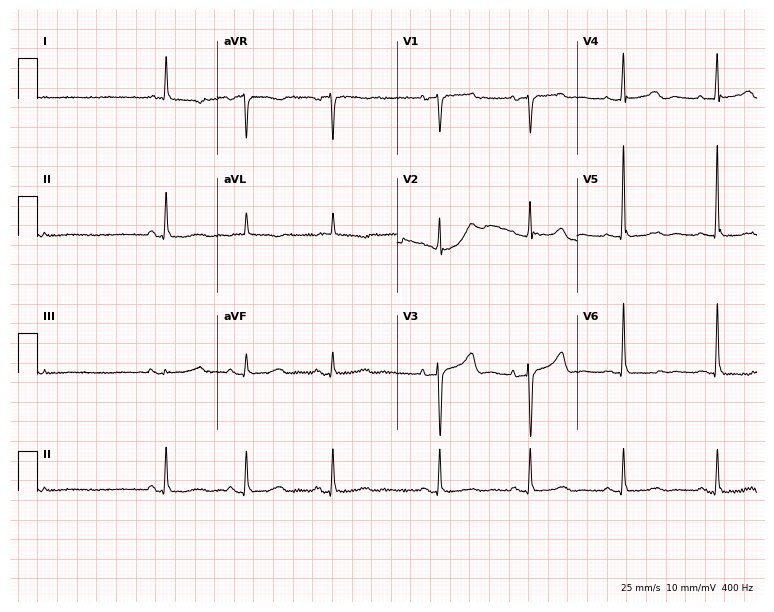
12-lead ECG from a woman, 84 years old (7.3-second recording at 400 Hz). No first-degree AV block, right bundle branch block (RBBB), left bundle branch block (LBBB), sinus bradycardia, atrial fibrillation (AF) or sinus tachycardia recorded for this tracing. Other findings, if any, are not listed.